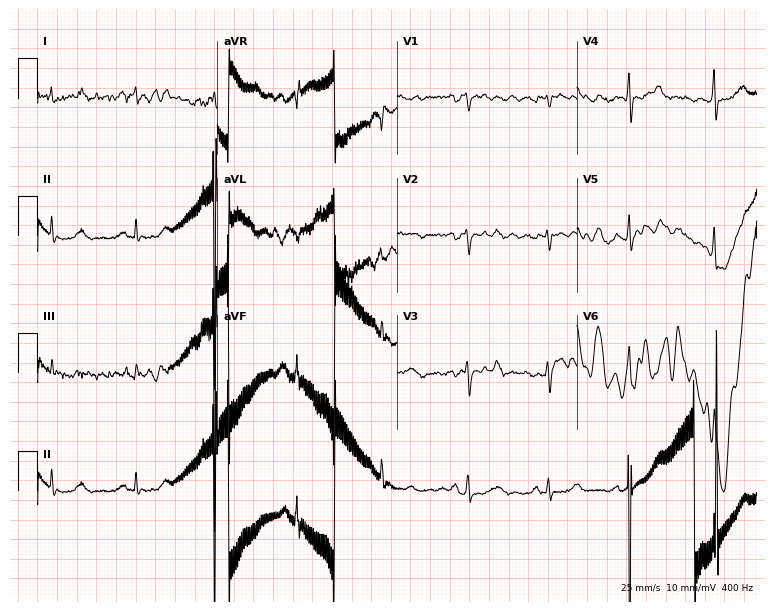
12-lead ECG from a woman, 68 years old. No first-degree AV block, right bundle branch block, left bundle branch block, sinus bradycardia, atrial fibrillation or sinus tachycardia recorded for this tracing. Other findings, if any, are not listed.